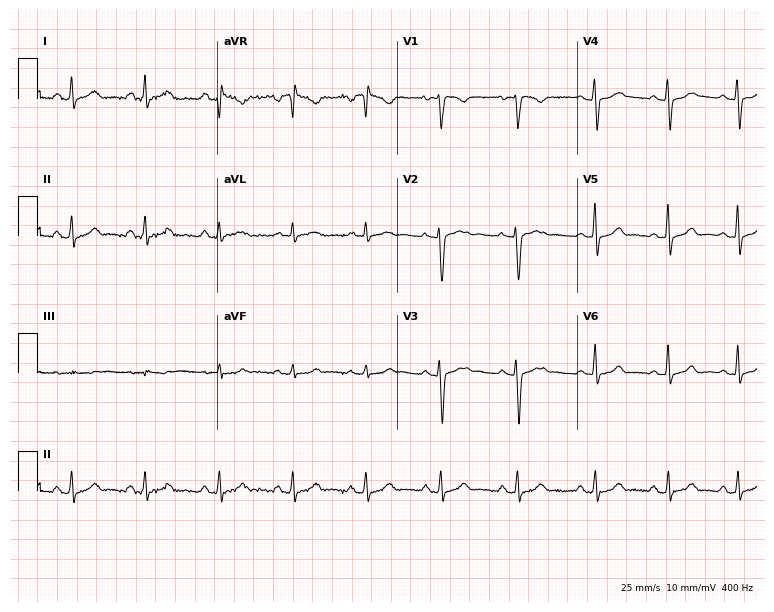
Standard 12-lead ECG recorded from a female patient, 20 years old. Read as a normal ECG.